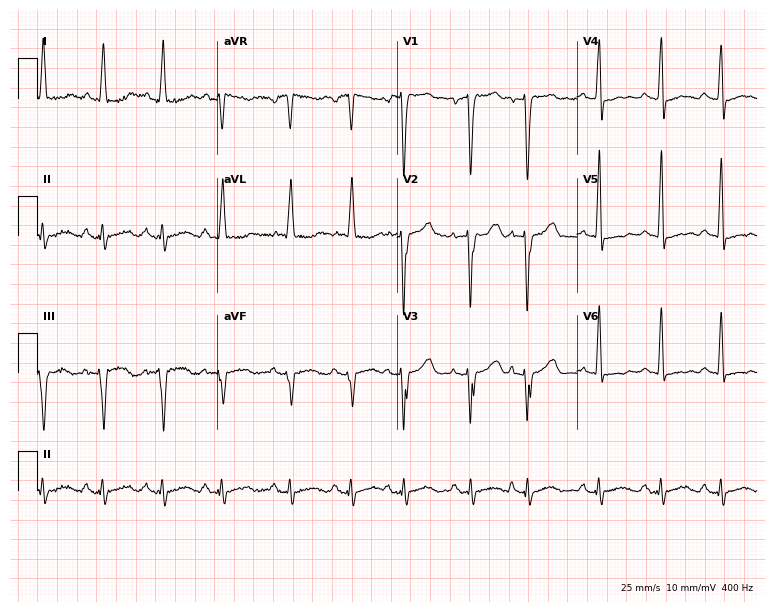
Standard 12-lead ECG recorded from an 84-year-old female patient. None of these six findings is recorded: first-degree AV block, right bundle branch block, left bundle branch block, sinus bradycardia, atrial fibrillation, sinus tachycardia.